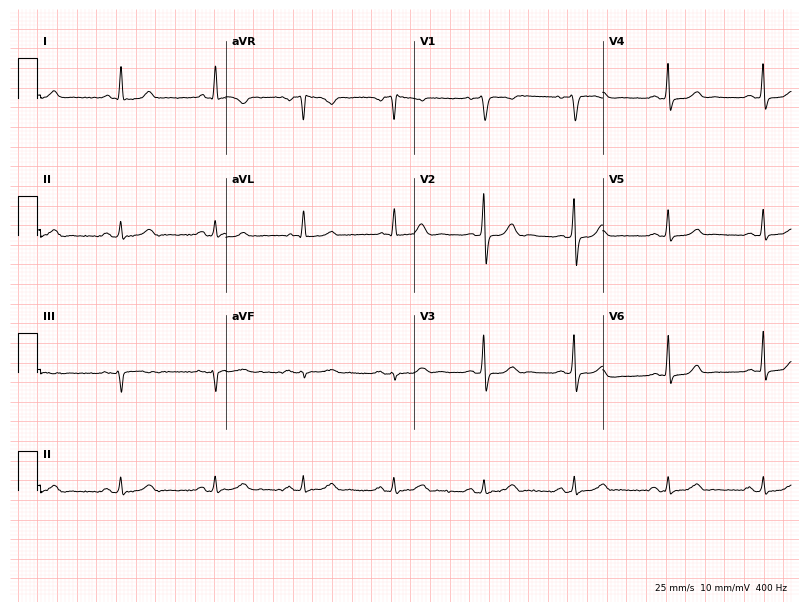
Resting 12-lead electrocardiogram. Patient: a female, 48 years old. Read as a normal ECG.